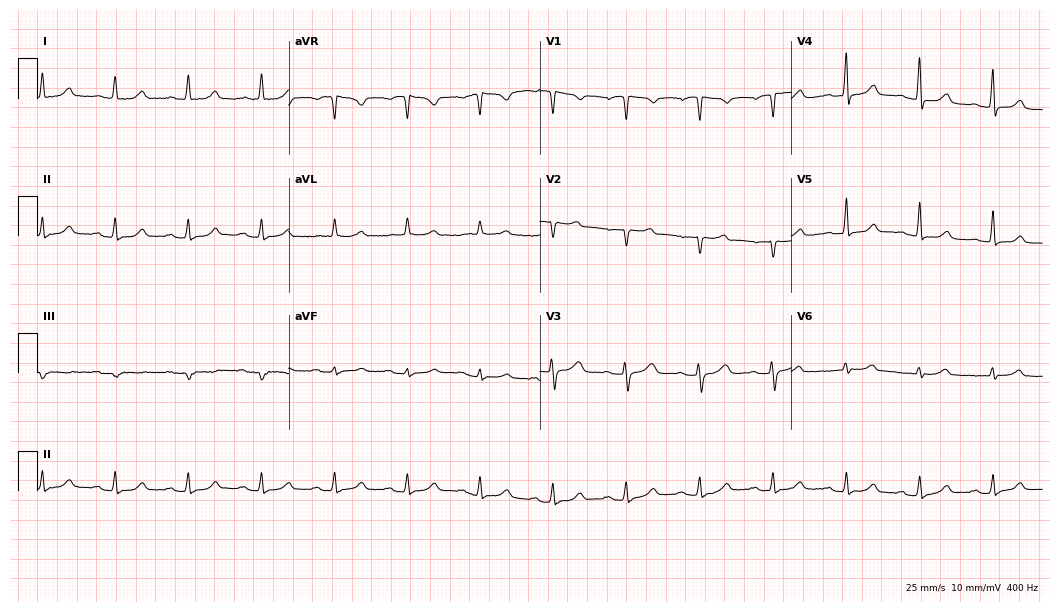
Standard 12-lead ECG recorded from a 77-year-old woman (10.2-second recording at 400 Hz). Read as a normal ECG.